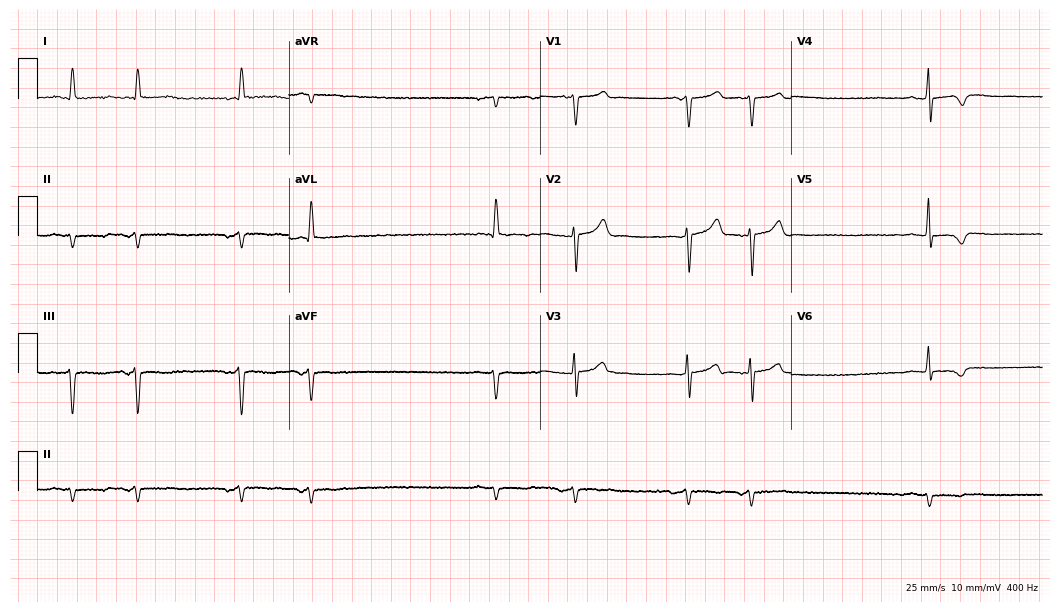
ECG — a 79-year-old male patient. Screened for six findings — first-degree AV block, right bundle branch block (RBBB), left bundle branch block (LBBB), sinus bradycardia, atrial fibrillation (AF), sinus tachycardia — none is recorded. Only these six findings were labelled.